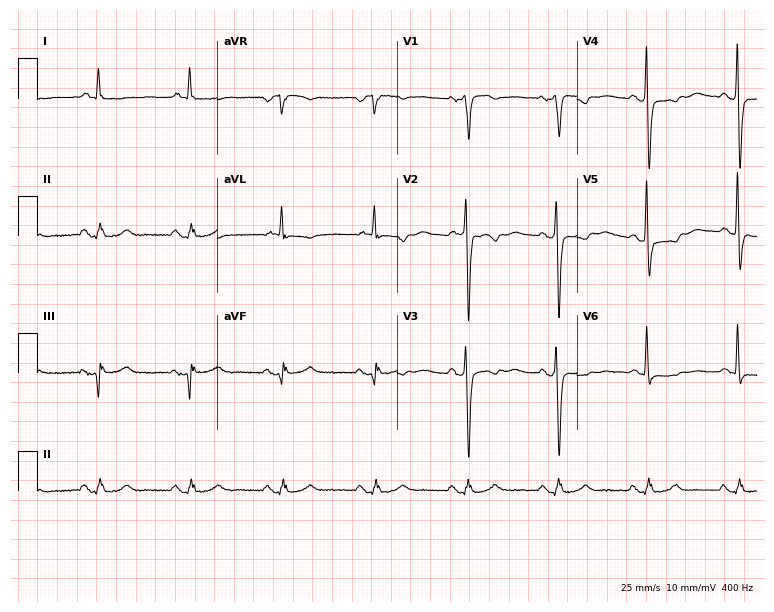
12-lead ECG from a male patient, 81 years old. Screened for six findings — first-degree AV block, right bundle branch block (RBBB), left bundle branch block (LBBB), sinus bradycardia, atrial fibrillation (AF), sinus tachycardia — none is recorded.